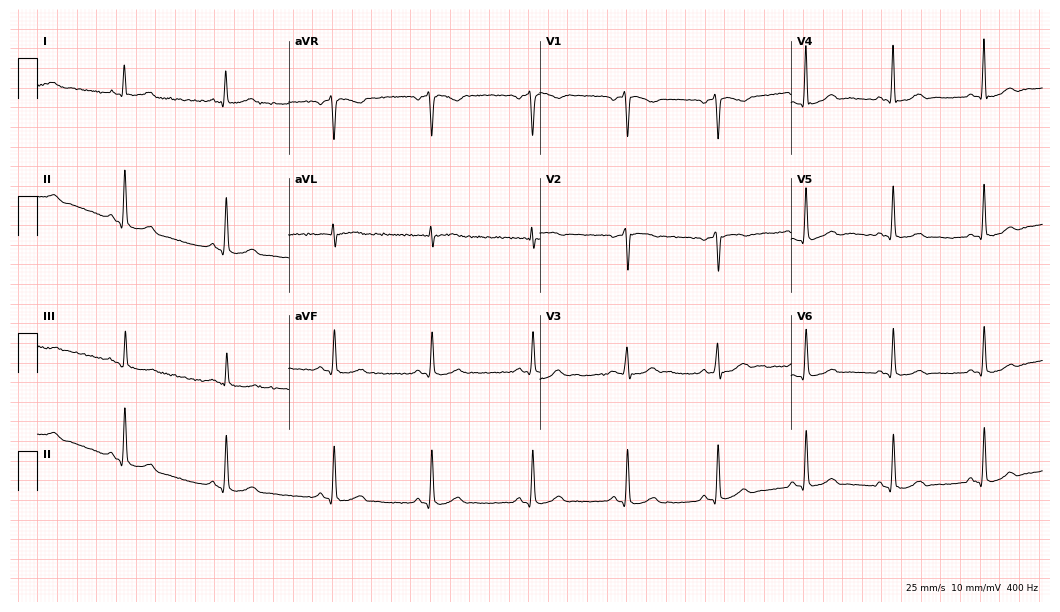
12-lead ECG from a 33-year-old male (10.2-second recording at 400 Hz). Recorded interpretation: within normal limits.